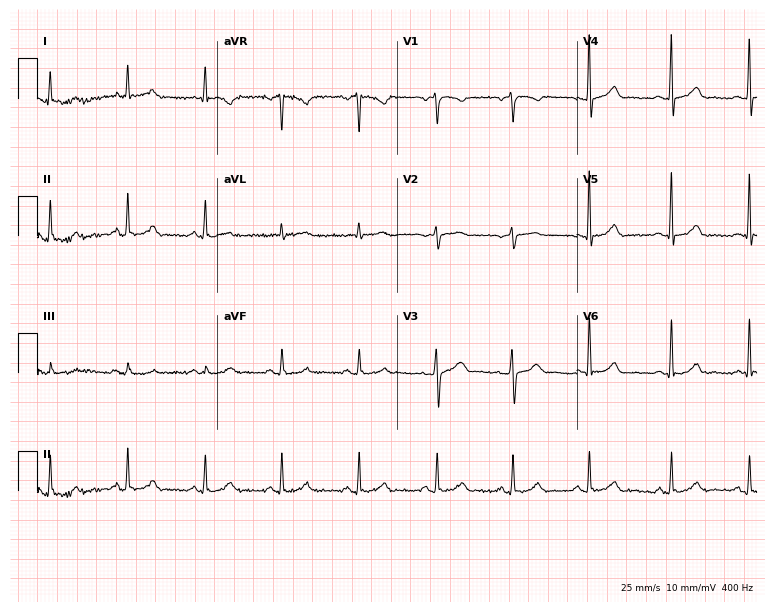
12-lead ECG from a 76-year-old female. Recorded interpretation: within normal limits.